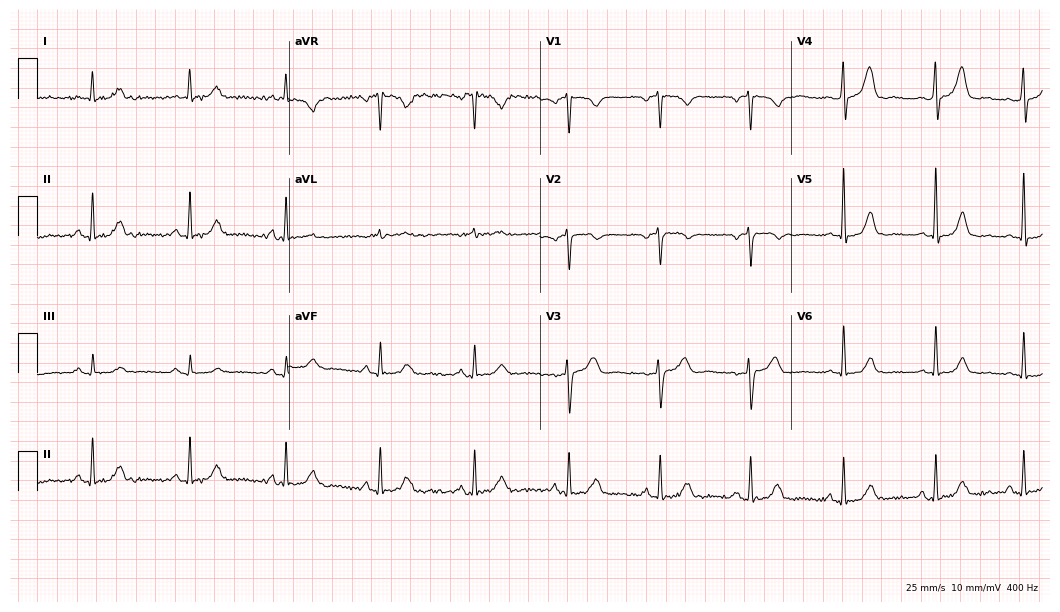
12-lead ECG (10.2-second recording at 400 Hz) from a 59-year-old female. Screened for six findings — first-degree AV block, right bundle branch block, left bundle branch block, sinus bradycardia, atrial fibrillation, sinus tachycardia — none is recorded.